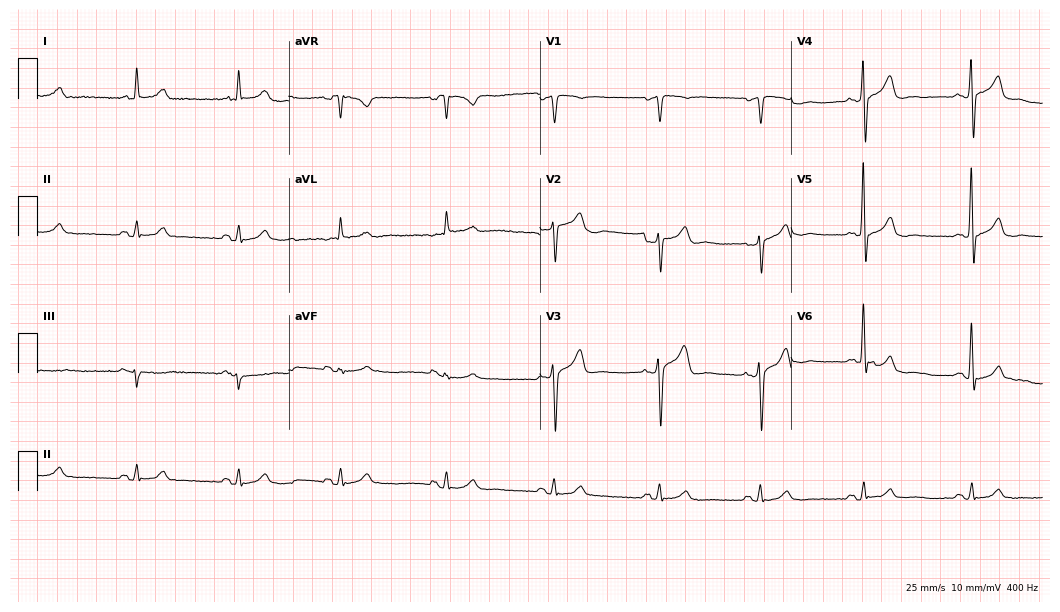
Resting 12-lead electrocardiogram. Patient: a man, 74 years old. Read as a normal ECG.